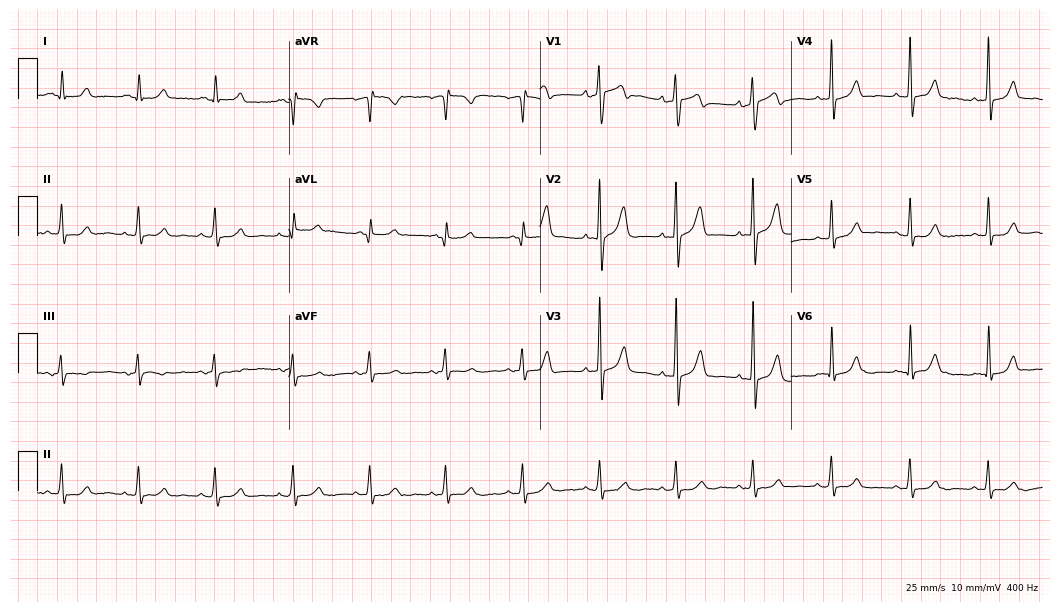
Standard 12-lead ECG recorded from a male patient, 79 years old (10.2-second recording at 400 Hz). Read as a normal ECG.